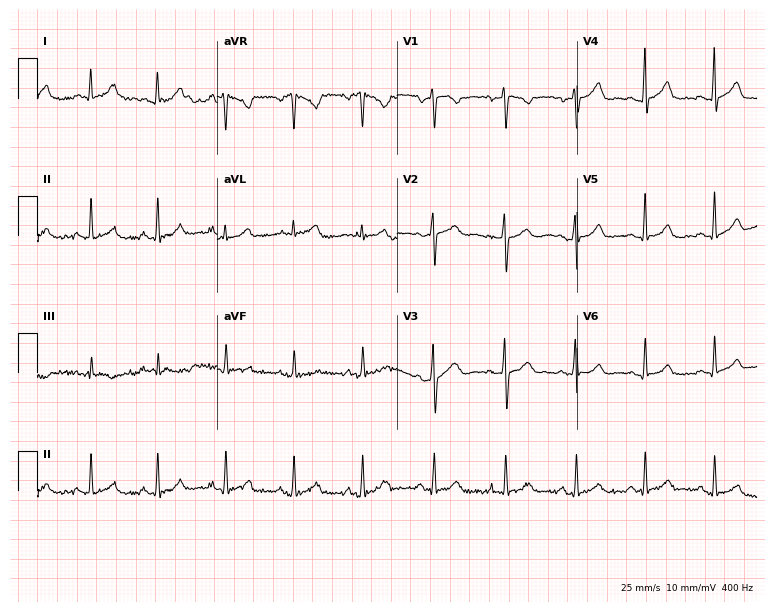
Standard 12-lead ECG recorded from a woman, 28 years old (7.3-second recording at 400 Hz). Read as a normal ECG.